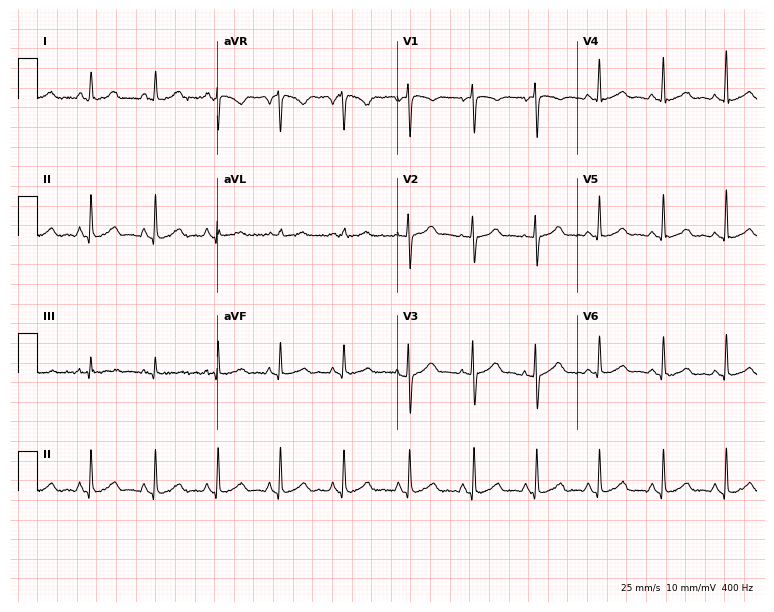
Standard 12-lead ECG recorded from a 31-year-old woman. Read as a normal ECG.